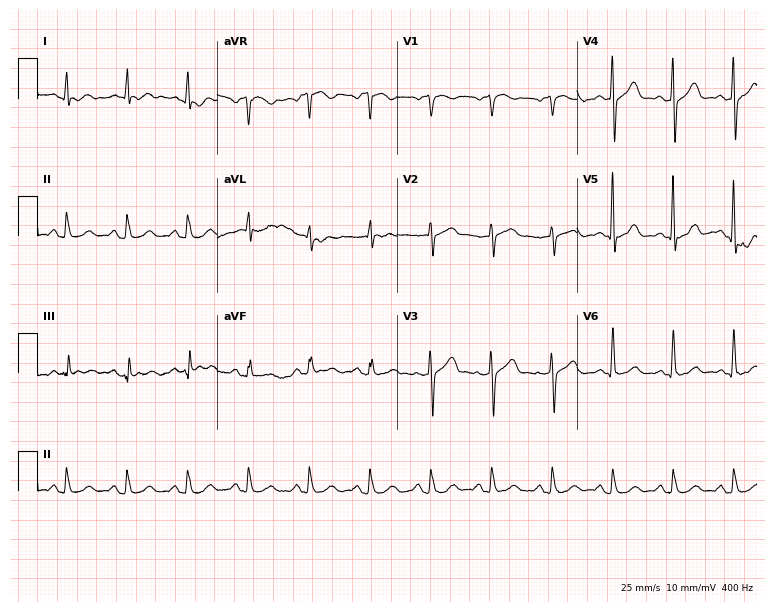
Electrocardiogram (7.3-second recording at 400 Hz), a male, 58 years old. Overall reading on record: normal ECG.